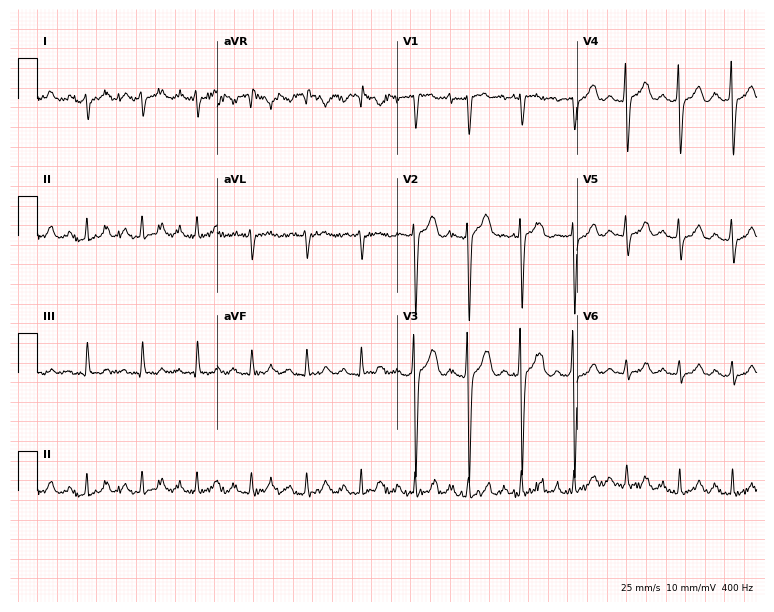
12-lead ECG (7.3-second recording at 400 Hz) from a 35-year-old male. Screened for six findings — first-degree AV block, right bundle branch block, left bundle branch block, sinus bradycardia, atrial fibrillation, sinus tachycardia — none is recorded. Findings outside these six are not listed.